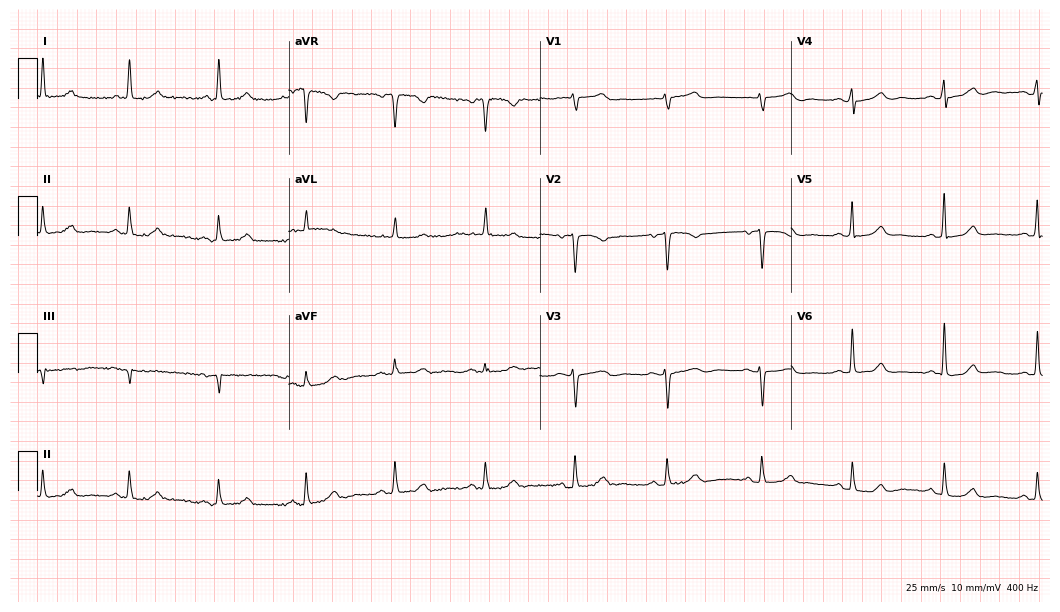
12-lead ECG from a female, 72 years old. Recorded interpretation: within normal limits.